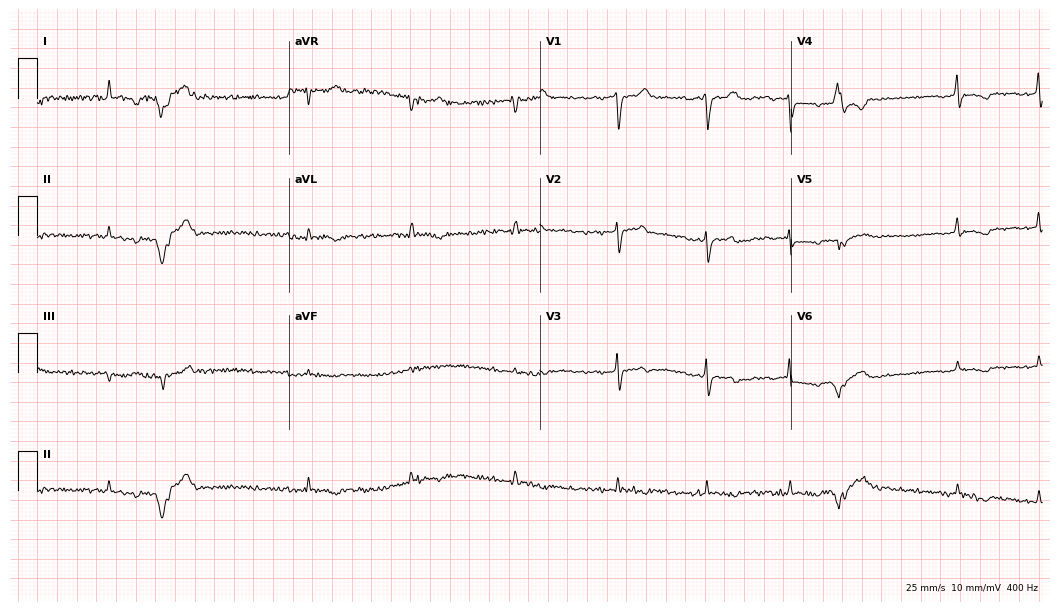
Standard 12-lead ECG recorded from a 72-year-old female (10.2-second recording at 400 Hz). None of these six findings is recorded: first-degree AV block, right bundle branch block, left bundle branch block, sinus bradycardia, atrial fibrillation, sinus tachycardia.